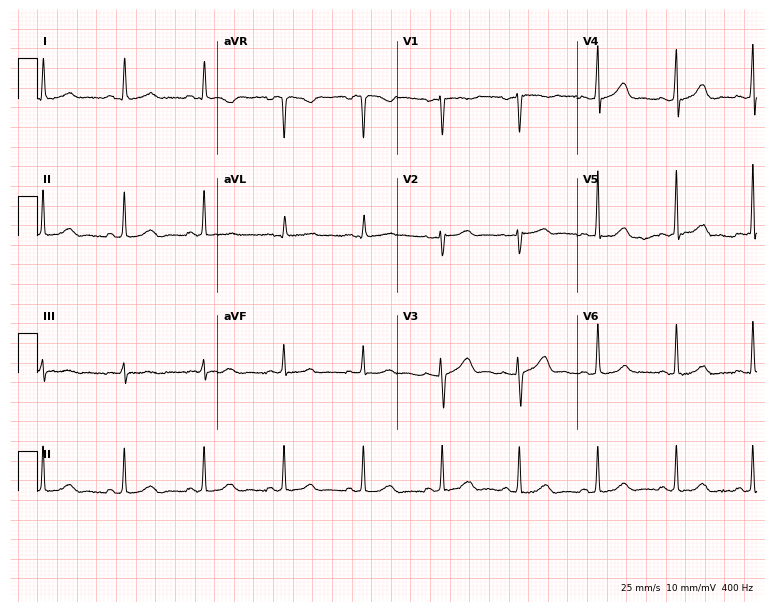
12-lead ECG from a female, 48 years old (7.3-second recording at 400 Hz). Recorded interpretation: within normal limits.